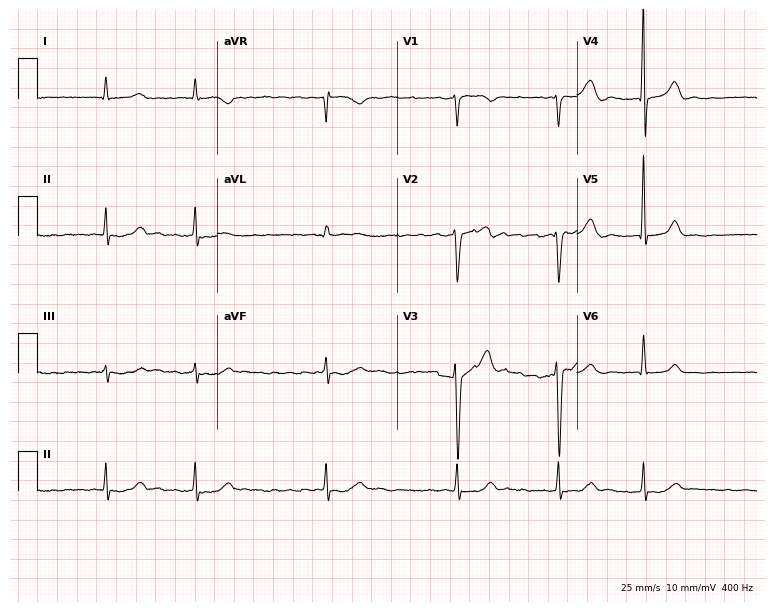
Standard 12-lead ECG recorded from a male patient, 69 years old. The tracing shows atrial fibrillation.